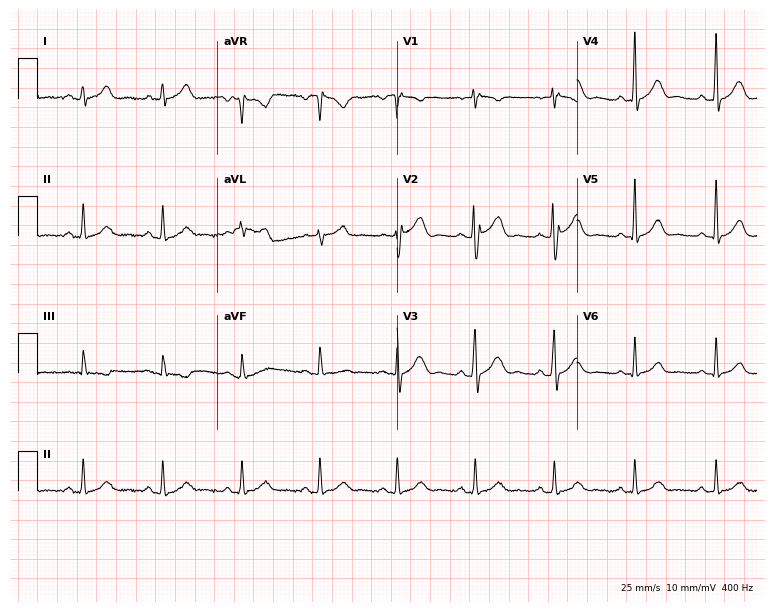
Resting 12-lead electrocardiogram. Patient: a male, 44 years old. None of these six findings is recorded: first-degree AV block, right bundle branch block, left bundle branch block, sinus bradycardia, atrial fibrillation, sinus tachycardia.